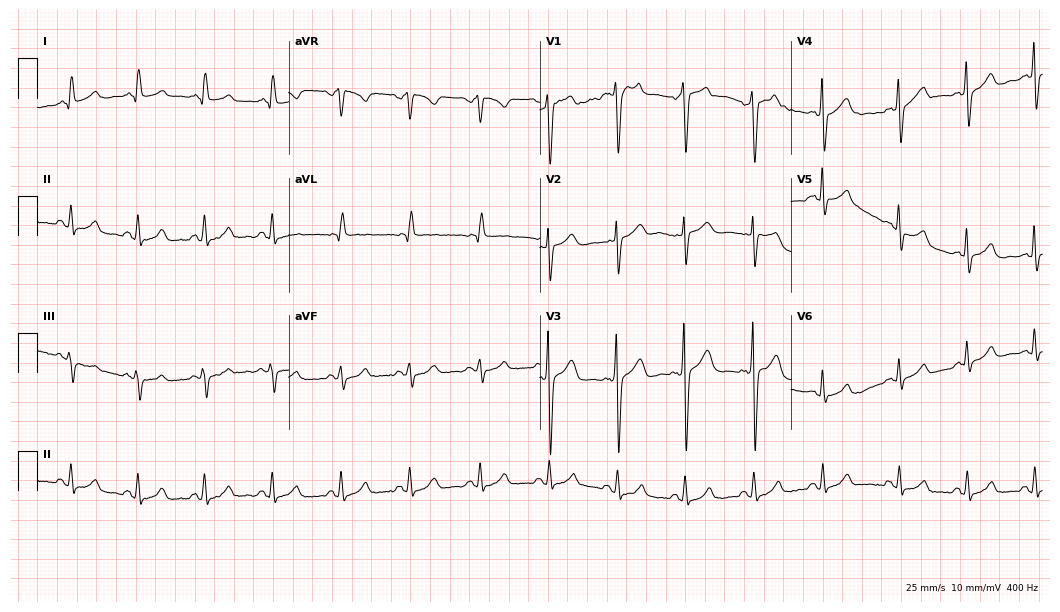
Resting 12-lead electrocardiogram. Patient: a male, 30 years old. None of these six findings is recorded: first-degree AV block, right bundle branch block, left bundle branch block, sinus bradycardia, atrial fibrillation, sinus tachycardia.